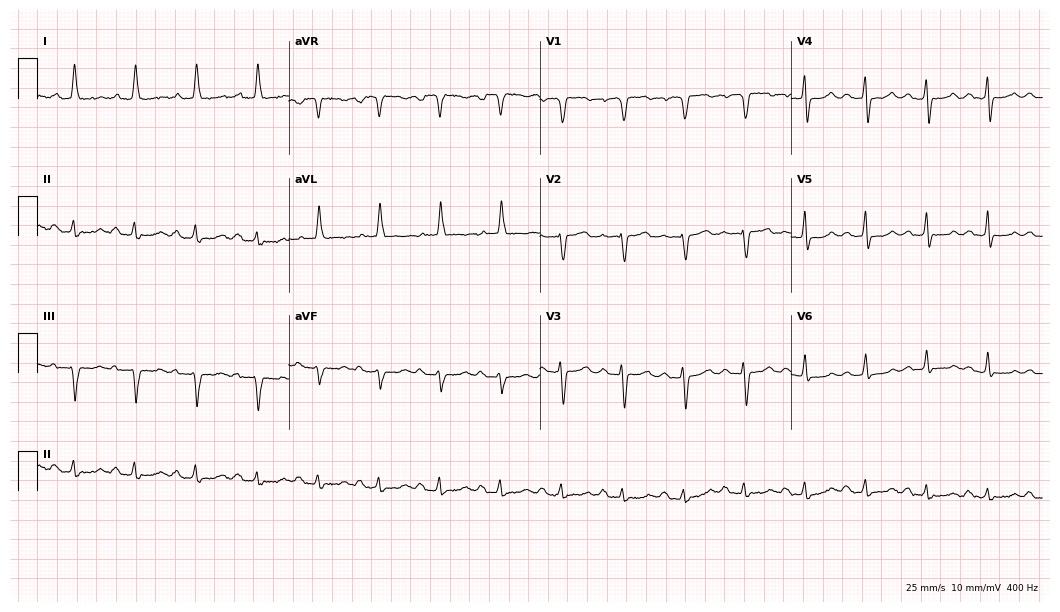
12-lead ECG from a female, 81 years old. Shows first-degree AV block.